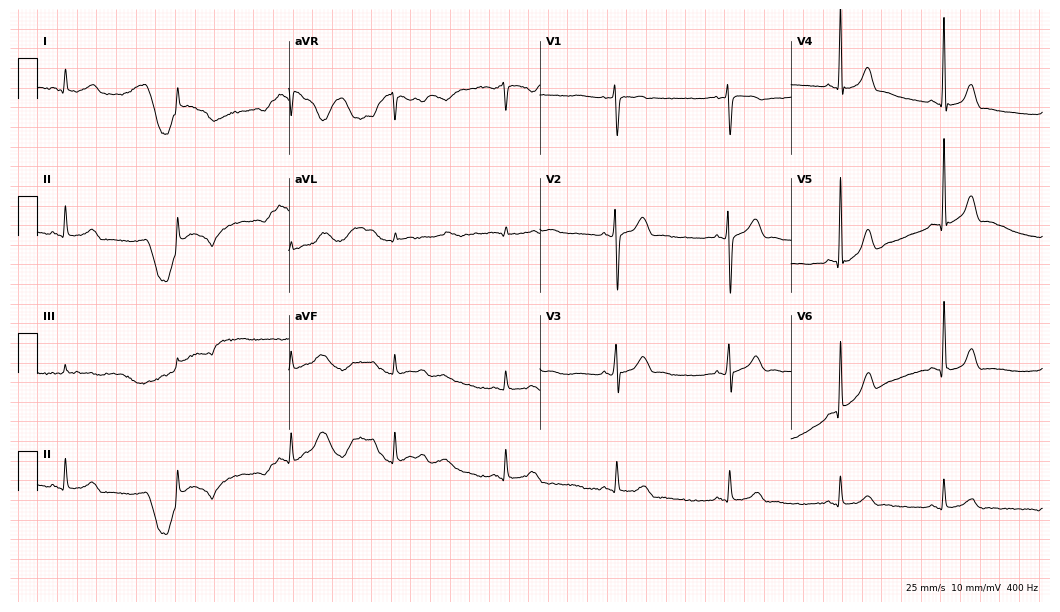
12-lead ECG from a 28-year-old woman (10.2-second recording at 400 Hz). No first-degree AV block, right bundle branch block, left bundle branch block, sinus bradycardia, atrial fibrillation or sinus tachycardia recorded for this tracing. Only these six findings were labelled.